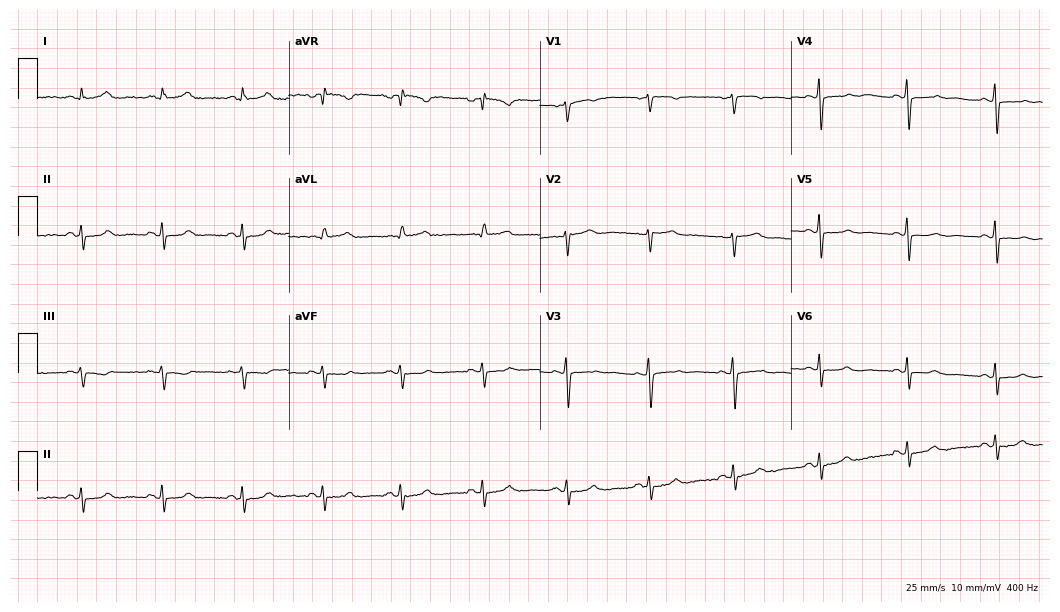
Electrocardiogram, a female, 41 years old. Of the six screened findings (first-degree AV block, right bundle branch block, left bundle branch block, sinus bradycardia, atrial fibrillation, sinus tachycardia), none is recorded.